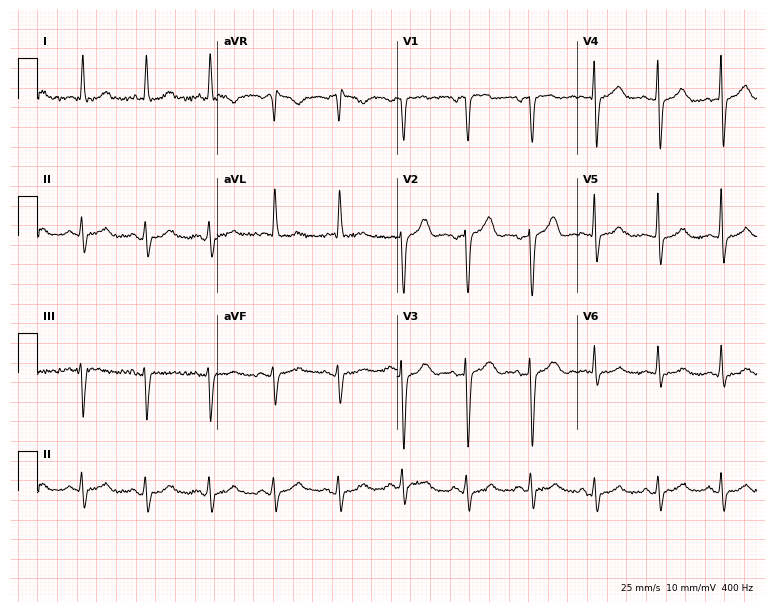
ECG — a male patient, 64 years old. Screened for six findings — first-degree AV block, right bundle branch block, left bundle branch block, sinus bradycardia, atrial fibrillation, sinus tachycardia — none is recorded.